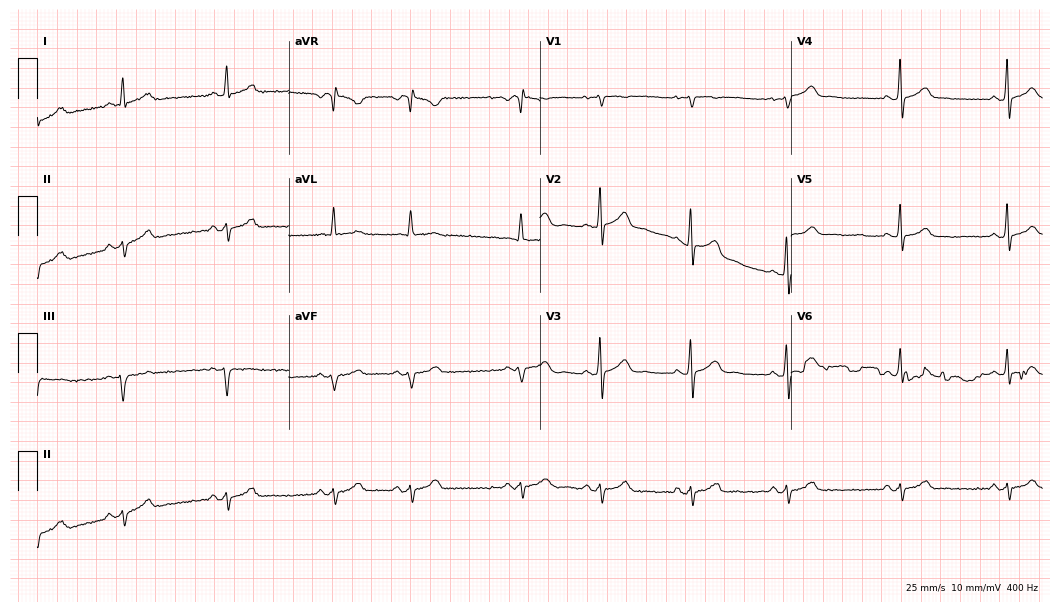
ECG — a 41-year-old female patient. Screened for six findings — first-degree AV block, right bundle branch block, left bundle branch block, sinus bradycardia, atrial fibrillation, sinus tachycardia — none is recorded.